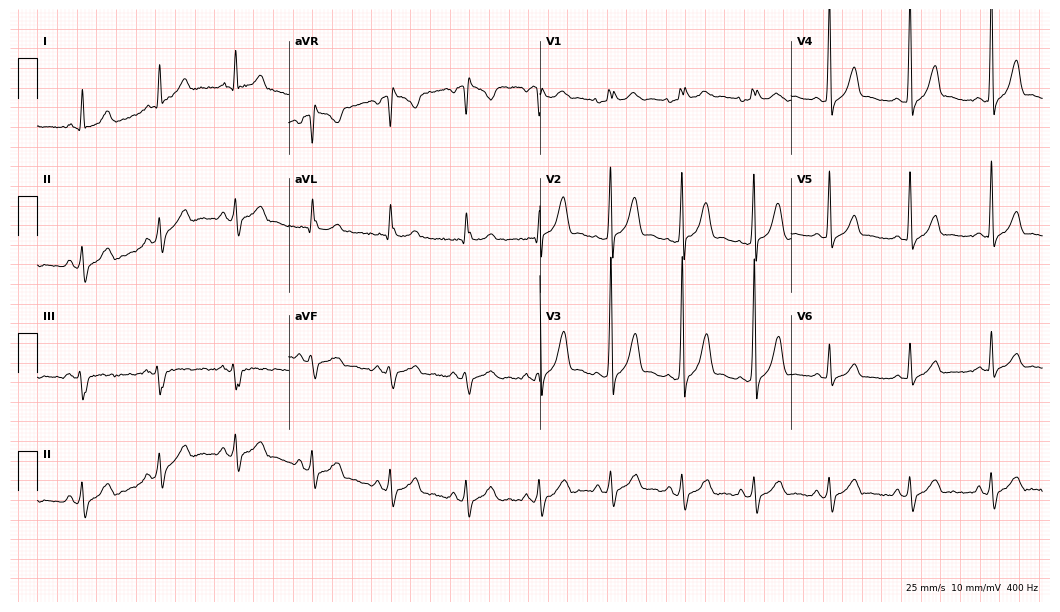
12-lead ECG from a 34-year-old male patient (10.2-second recording at 400 Hz). No first-degree AV block, right bundle branch block, left bundle branch block, sinus bradycardia, atrial fibrillation or sinus tachycardia recorded for this tracing.